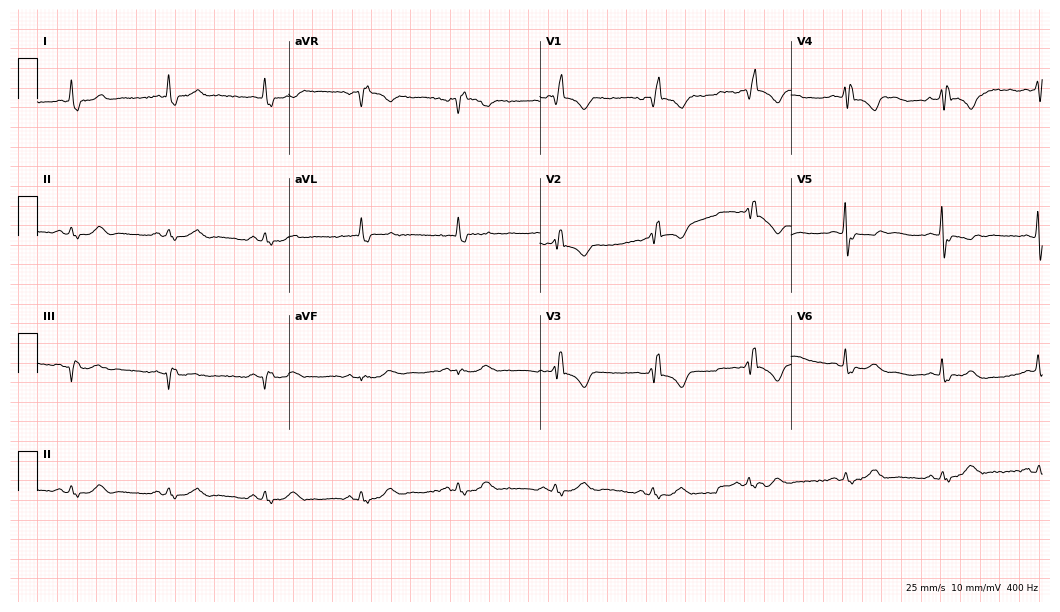
Standard 12-lead ECG recorded from a 72-year-old female. The tracing shows right bundle branch block (RBBB).